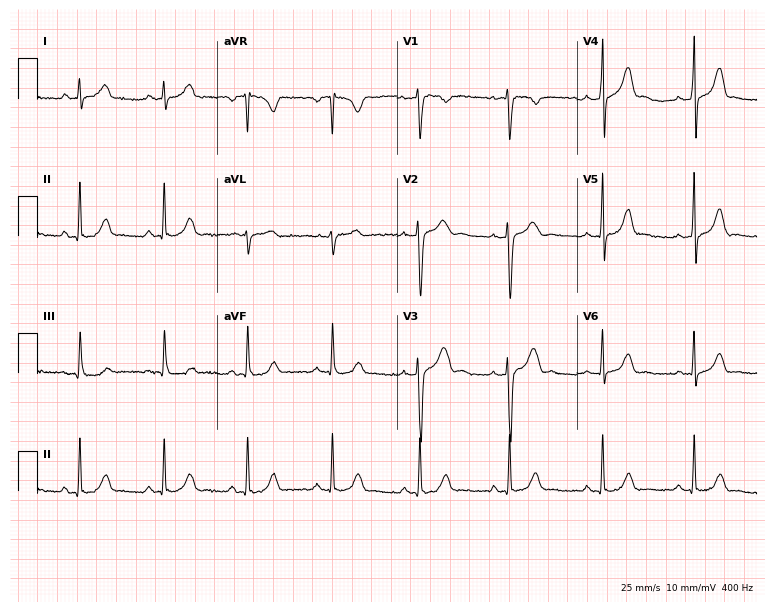
Standard 12-lead ECG recorded from a 31-year-old woman. Read as a normal ECG.